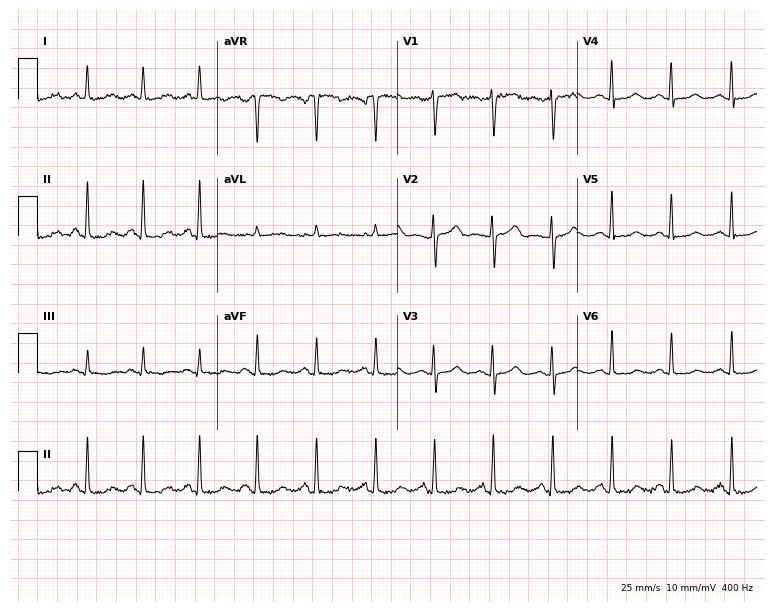
Standard 12-lead ECG recorded from a 49-year-old woman. Read as a normal ECG.